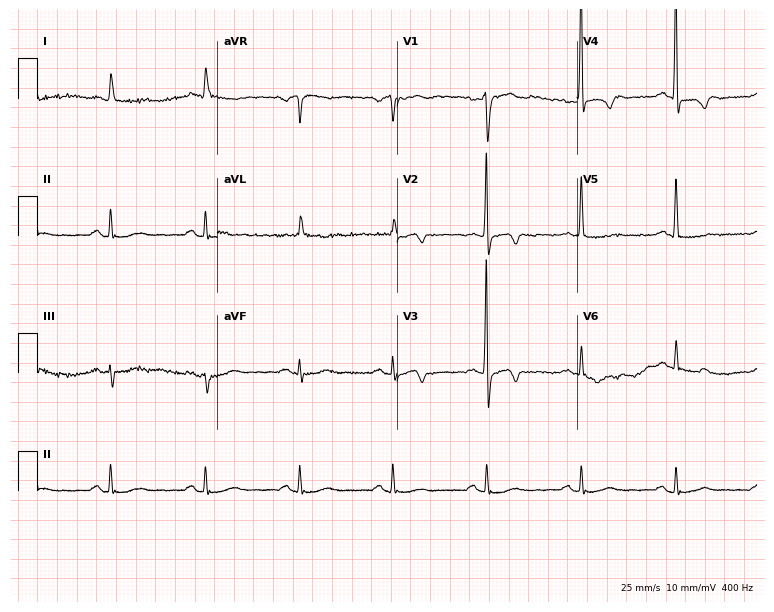
12-lead ECG from a male, 84 years old (7.3-second recording at 400 Hz). No first-degree AV block, right bundle branch block (RBBB), left bundle branch block (LBBB), sinus bradycardia, atrial fibrillation (AF) or sinus tachycardia recorded for this tracing. Findings outside these six are not listed.